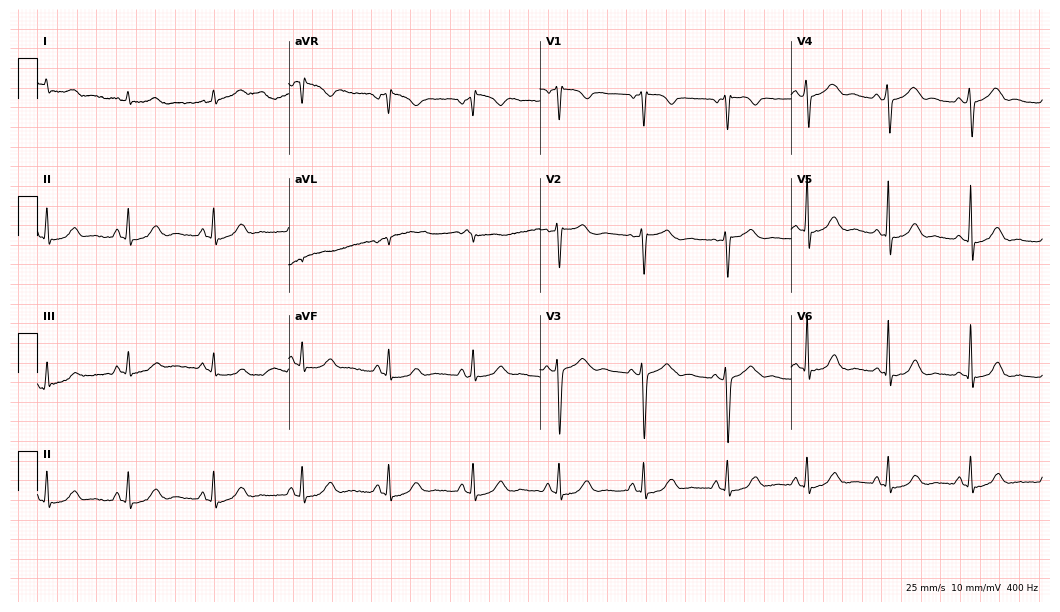
Electrocardiogram (10.2-second recording at 400 Hz), a 44-year-old female. Of the six screened findings (first-degree AV block, right bundle branch block (RBBB), left bundle branch block (LBBB), sinus bradycardia, atrial fibrillation (AF), sinus tachycardia), none is recorded.